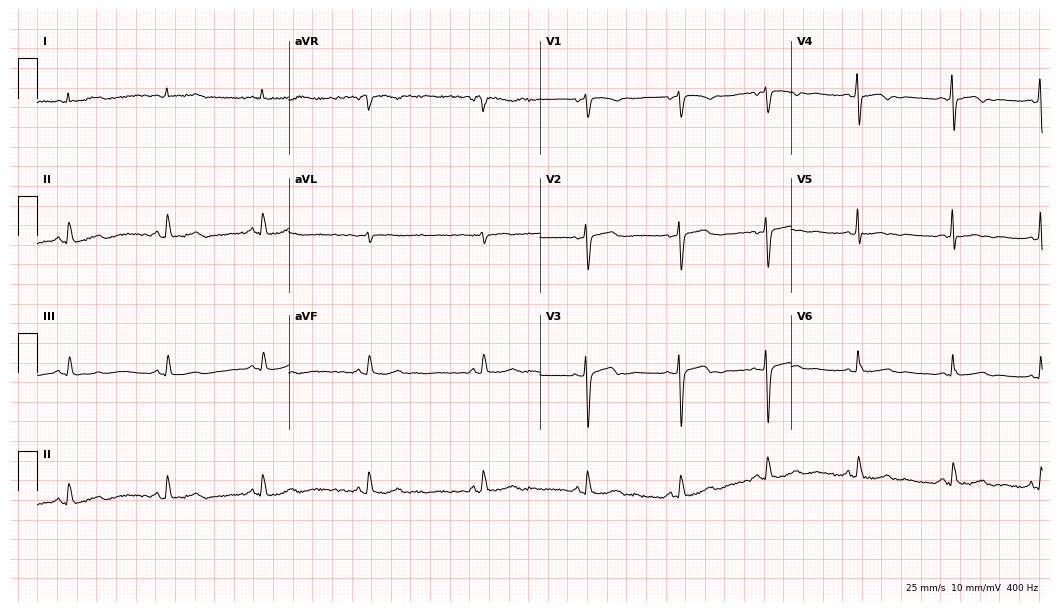
Resting 12-lead electrocardiogram. Patient: a 55-year-old female. None of these six findings is recorded: first-degree AV block, right bundle branch block, left bundle branch block, sinus bradycardia, atrial fibrillation, sinus tachycardia. Findings outside these six are not listed.